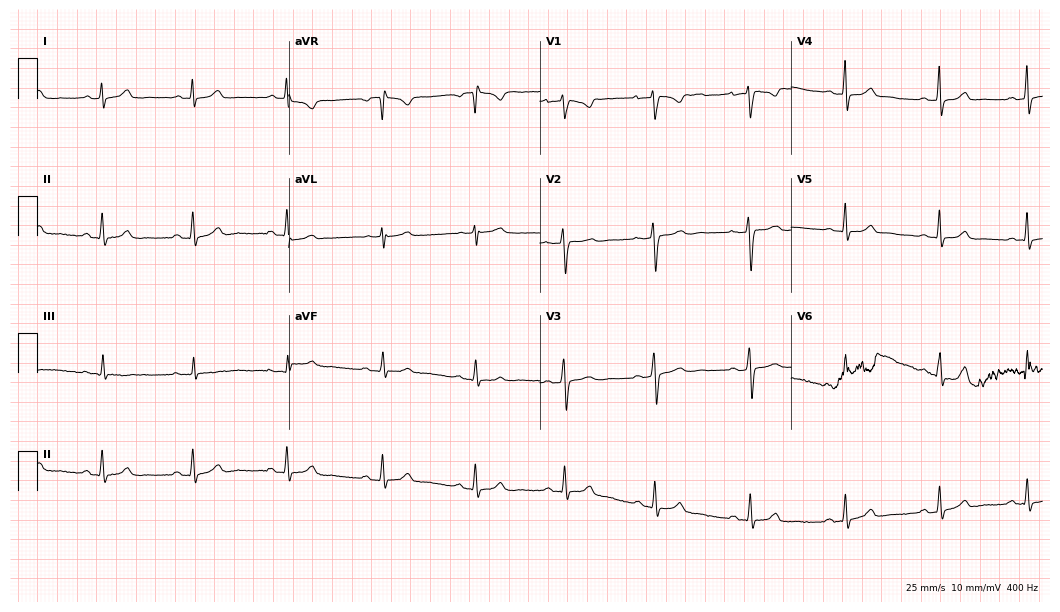
ECG — a woman, 29 years old. Labelled as a normal ECG.